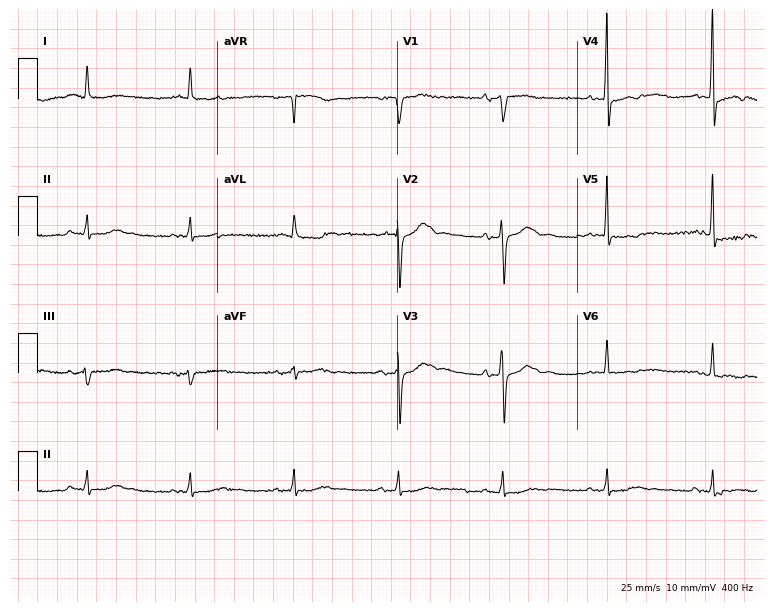
ECG (7.3-second recording at 400 Hz) — a male, 87 years old. Screened for six findings — first-degree AV block, right bundle branch block, left bundle branch block, sinus bradycardia, atrial fibrillation, sinus tachycardia — none is recorded.